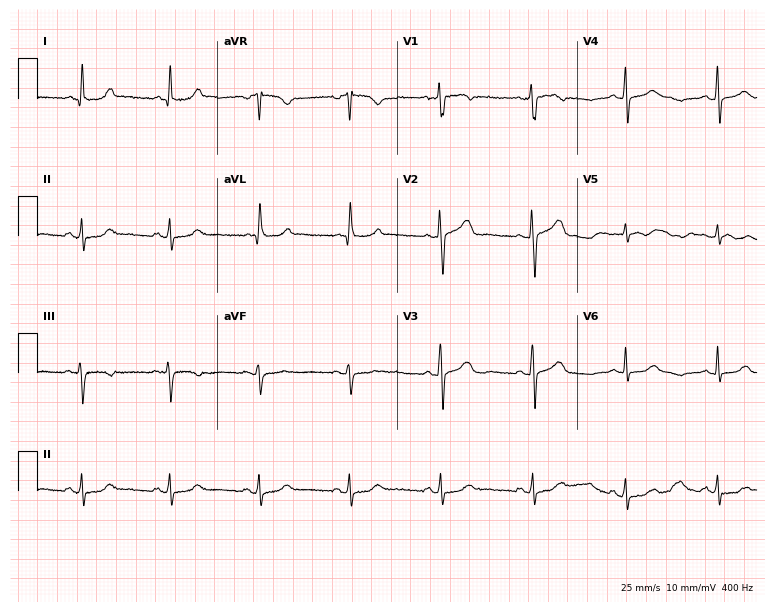
12-lead ECG from a 59-year-old female patient (7.3-second recording at 400 Hz). Recorded interpretation: within normal limits.